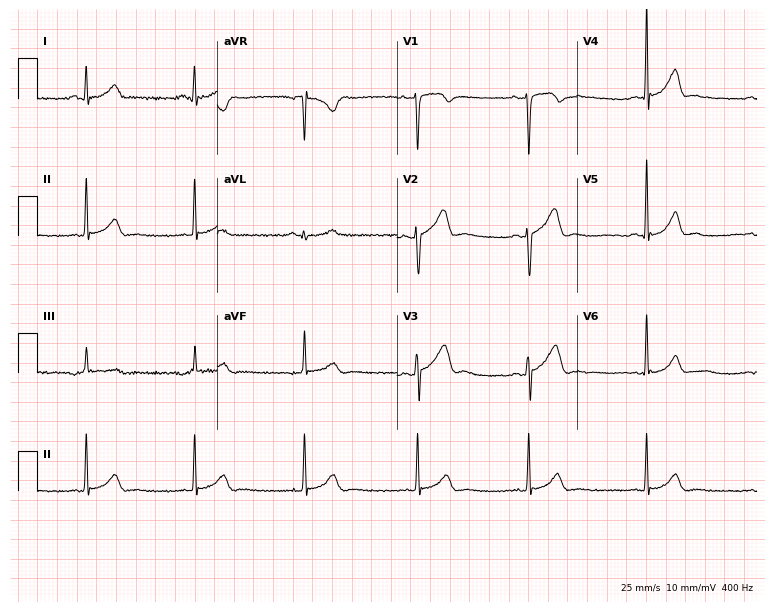
Standard 12-lead ECG recorded from a woman, 29 years old. Read as a normal ECG.